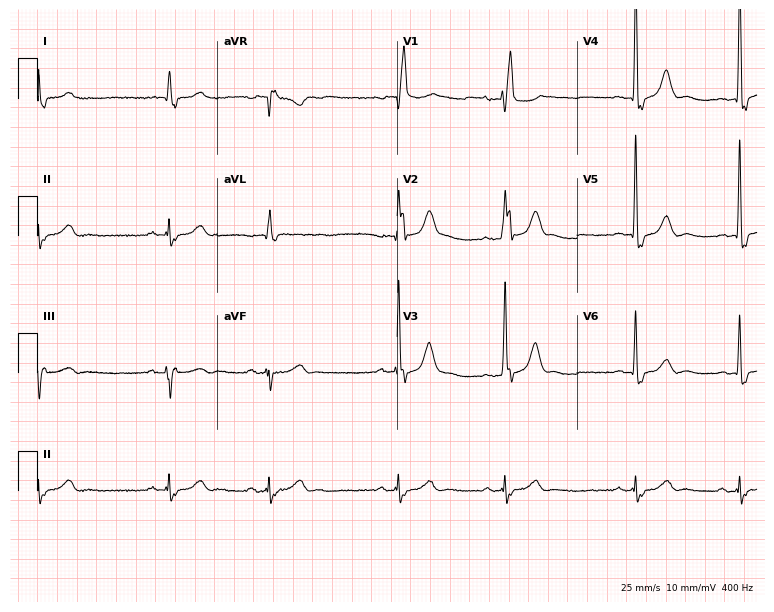
Electrocardiogram, an 82-year-old male patient. Interpretation includes right bundle branch block.